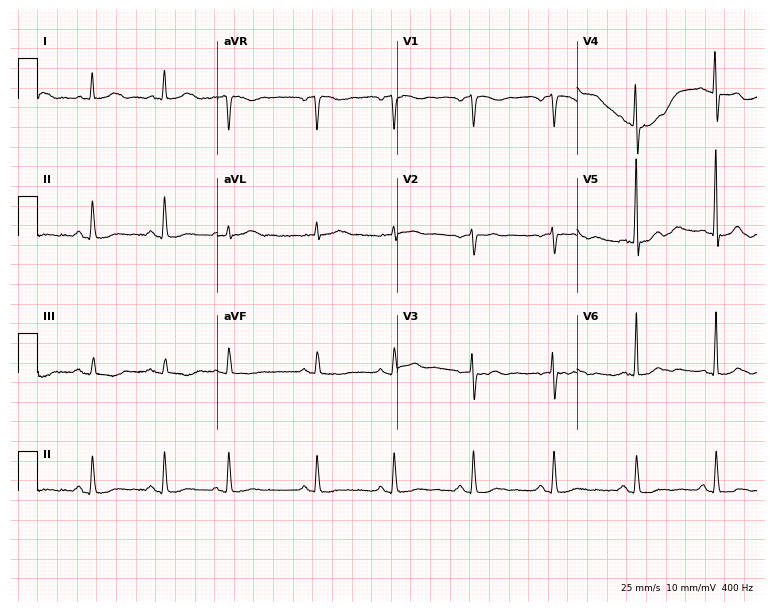
Electrocardiogram (7.3-second recording at 400 Hz), a 74-year-old female patient. Of the six screened findings (first-degree AV block, right bundle branch block (RBBB), left bundle branch block (LBBB), sinus bradycardia, atrial fibrillation (AF), sinus tachycardia), none is recorded. Findings outside these six are not listed.